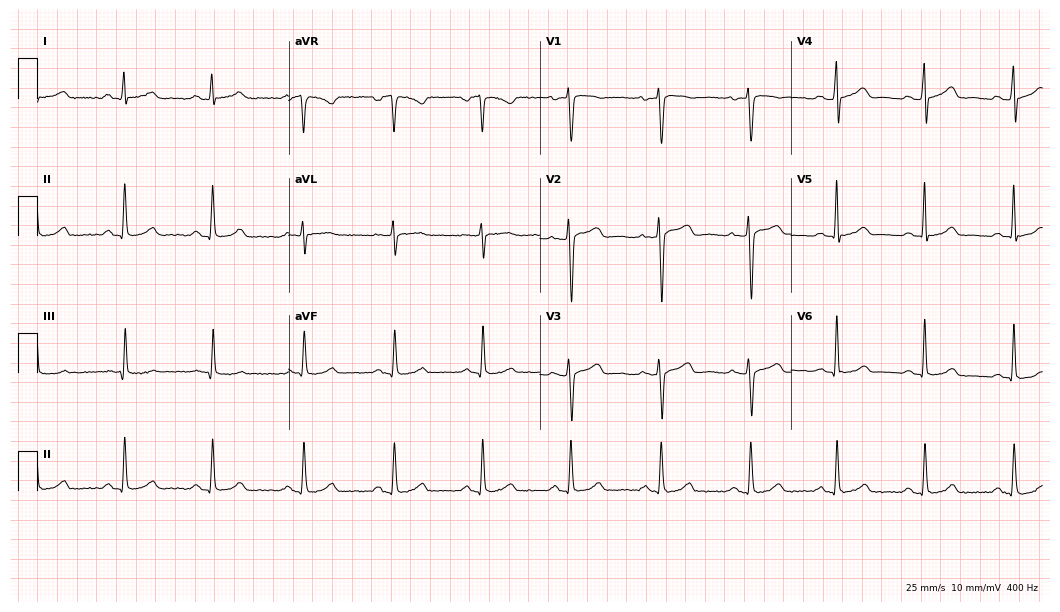
ECG — a female, 38 years old. Labelled as a normal ECG.